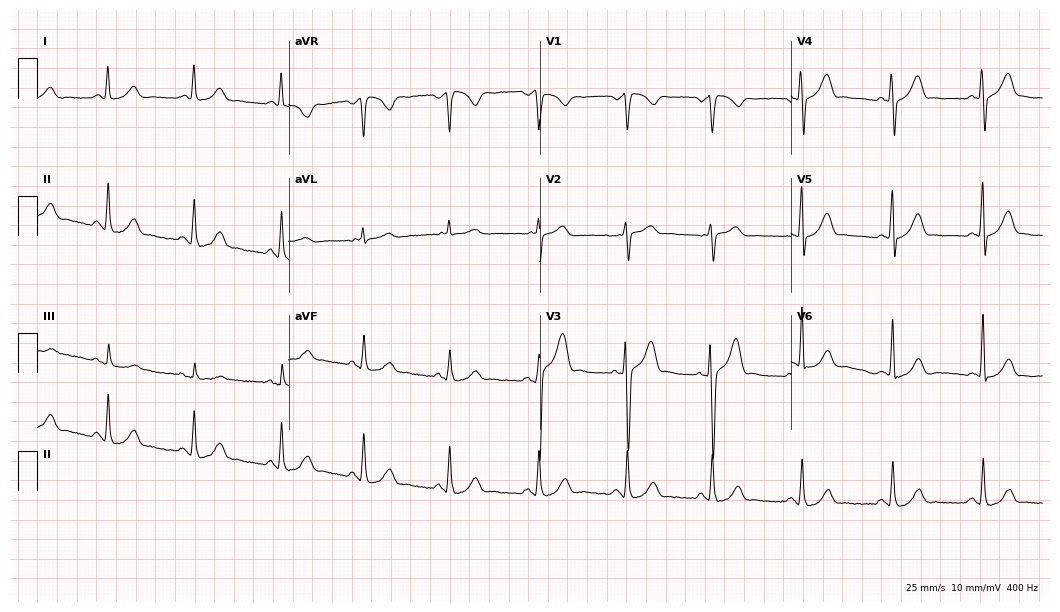
ECG — a 40-year-old male. Labelled as a normal ECG.